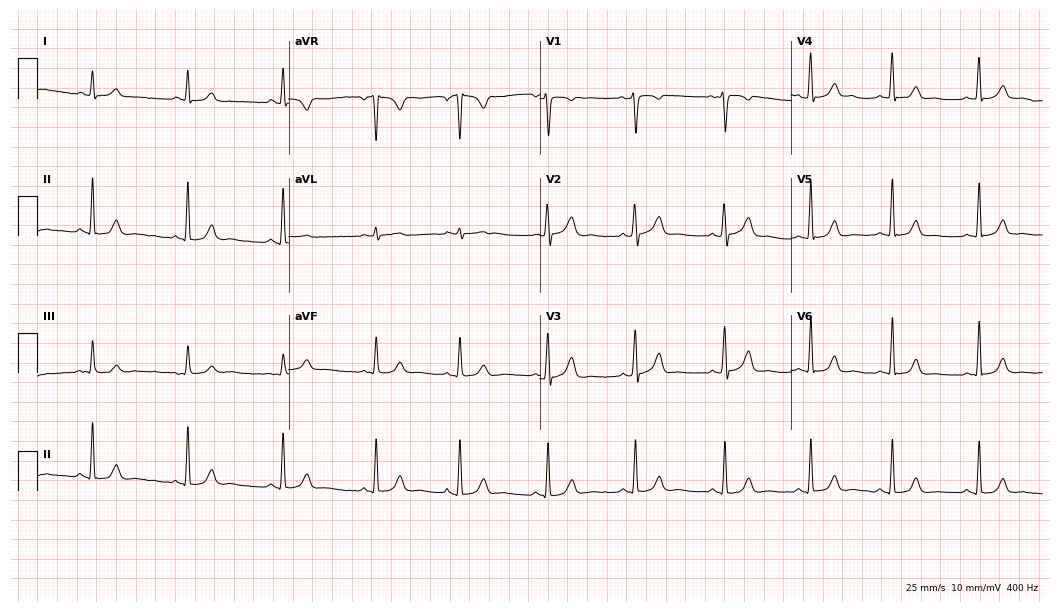
12-lead ECG from a 31-year-old female patient. Labelled as a normal ECG.